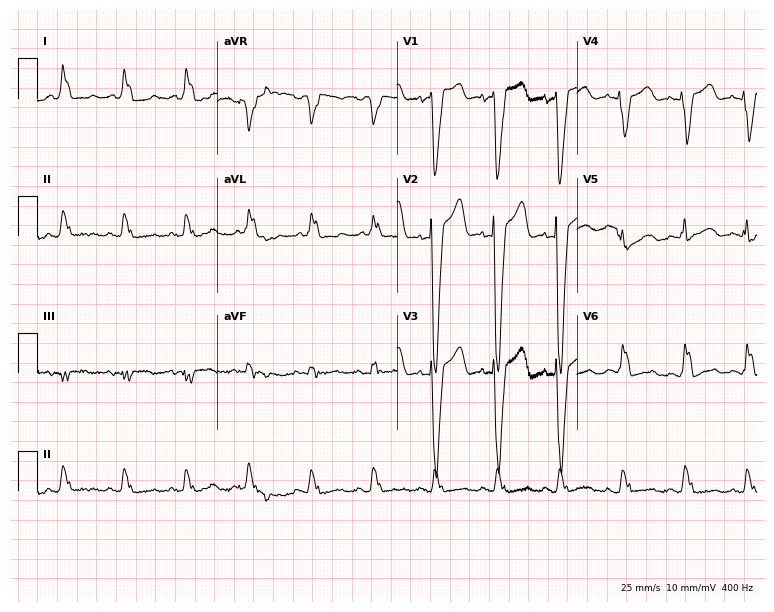
Standard 12-lead ECG recorded from a female patient, 85 years old (7.3-second recording at 400 Hz). The tracing shows left bundle branch block (LBBB).